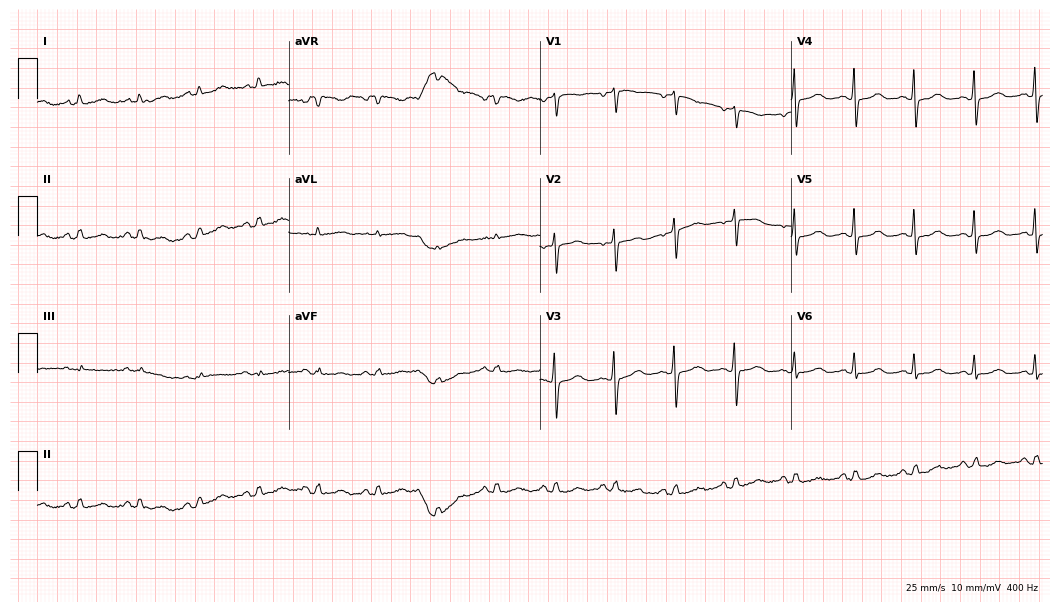
12-lead ECG (10.2-second recording at 400 Hz) from a female, 82 years old. Screened for six findings — first-degree AV block, right bundle branch block, left bundle branch block, sinus bradycardia, atrial fibrillation, sinus tachycardia — none is recorded.